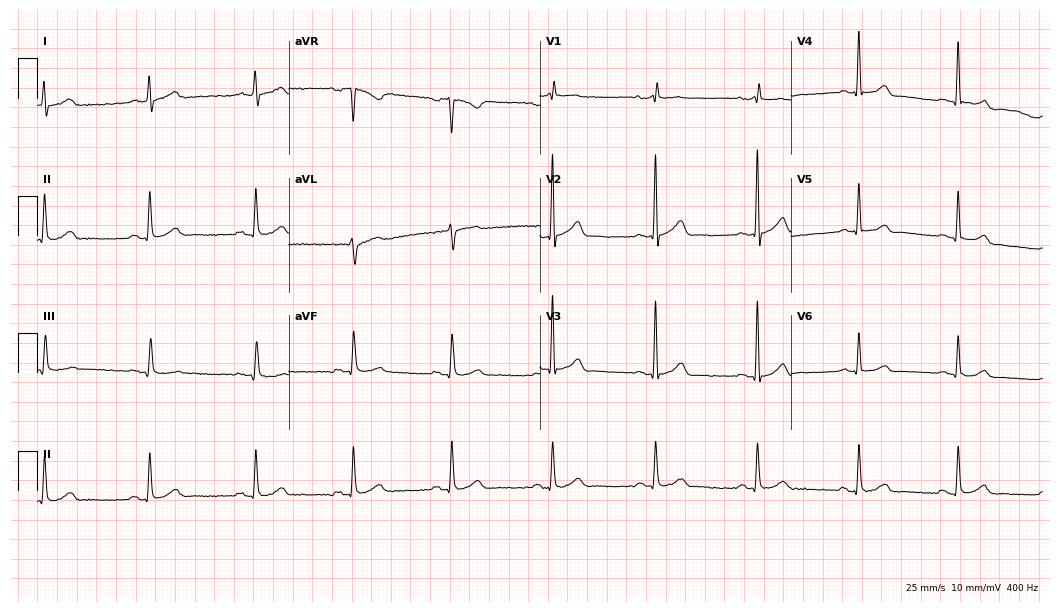
Electrocardiogram (10.2-second recording at 400 Hz), a 49-year-old male patient. Overall reading on record: normal ECG.